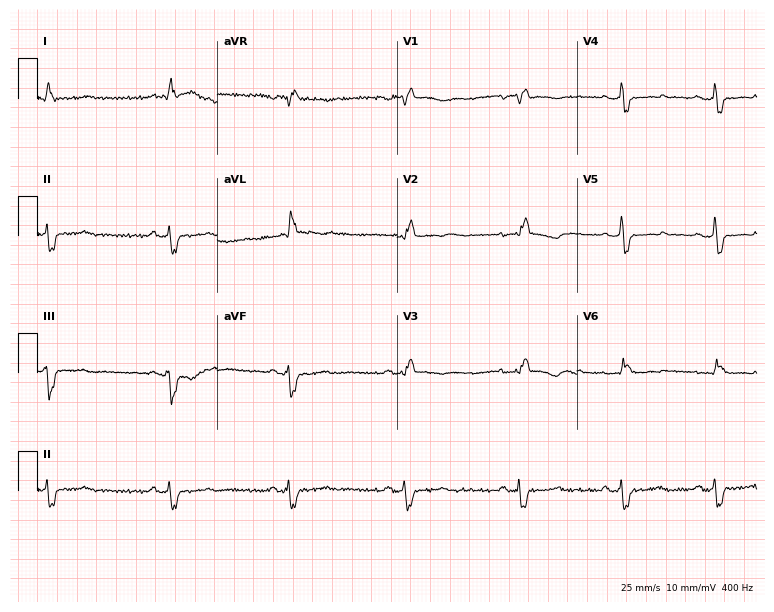
12-lead ECG from a female, 42 years old. Findings include right bundle branch block, left bundle branch block.